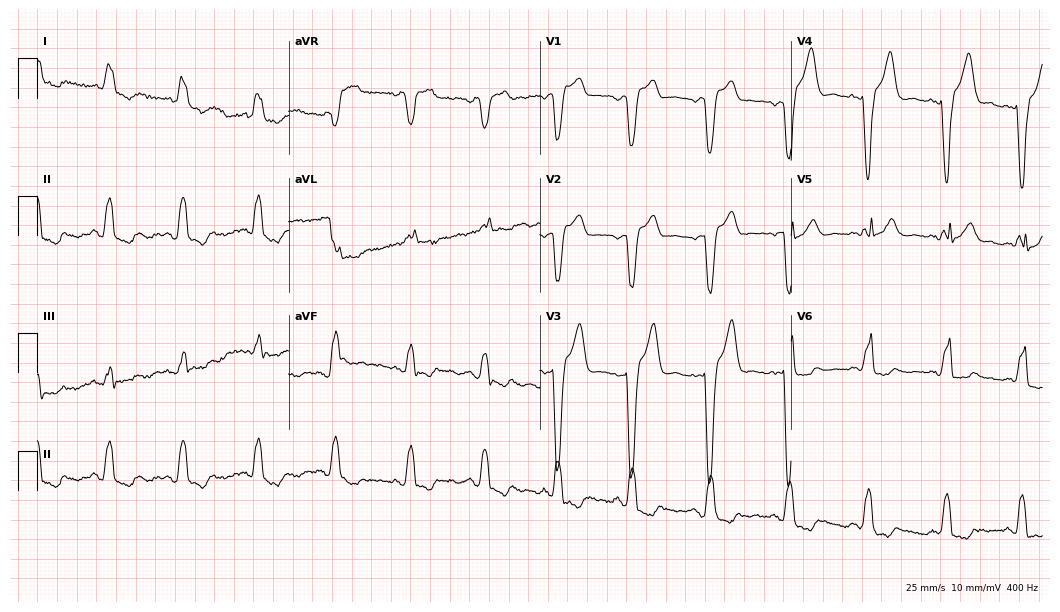
ECG — a woman, 61 years old. Findings include left bundle branch block.